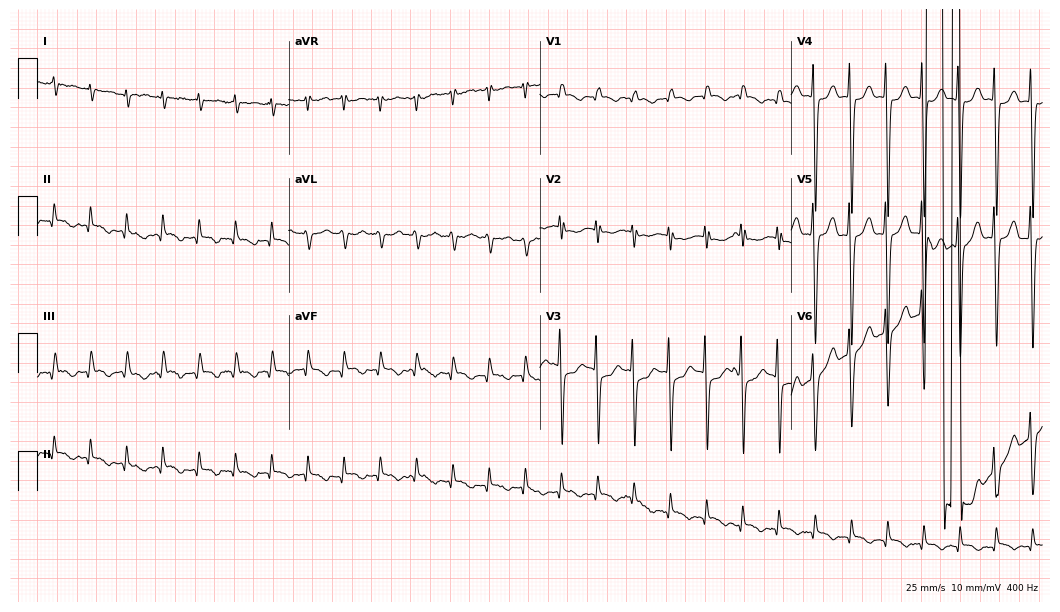
12-lead ECG (10.2-second recording at 400 Hz) from a woman, 58 years old. Findings include sinus tachycardia (a sinus rate of 100 beats per minute or more).